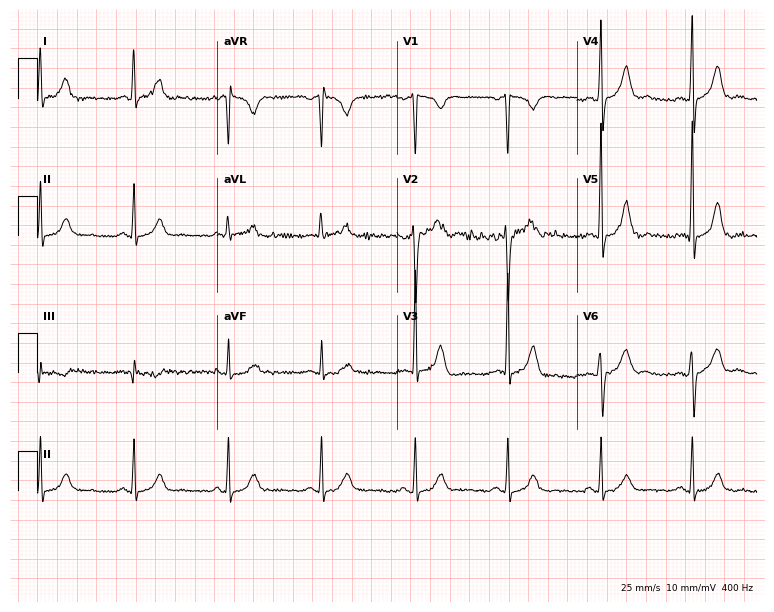
ECG — a male, 50 years old. Labelled as a normal ECG.